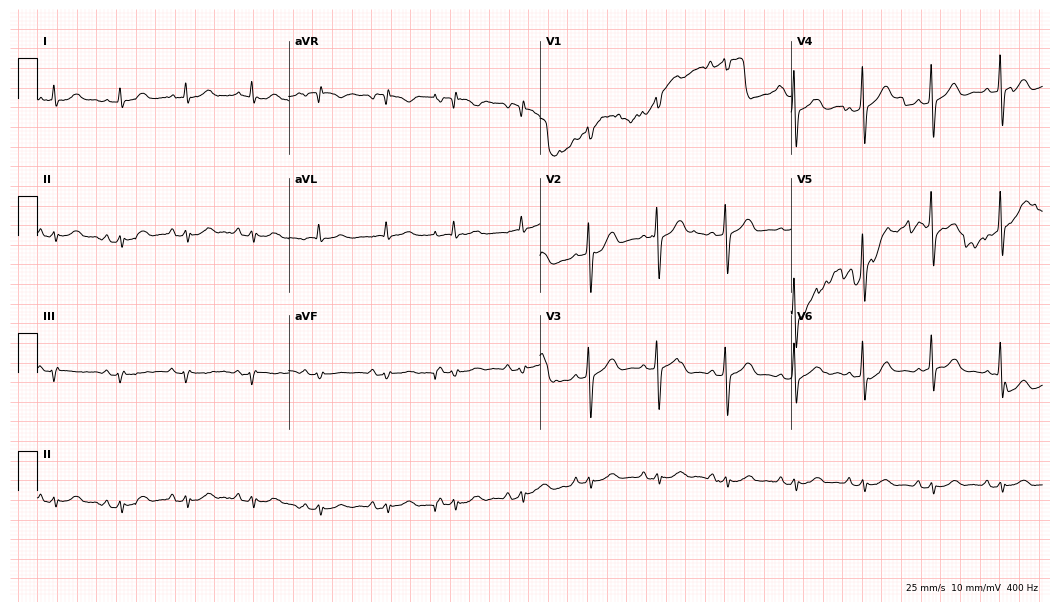
Electrocardiogram (10.2-second recording at 400 Hz), an 84-year-old male. Overall reading on record: normal ECG.